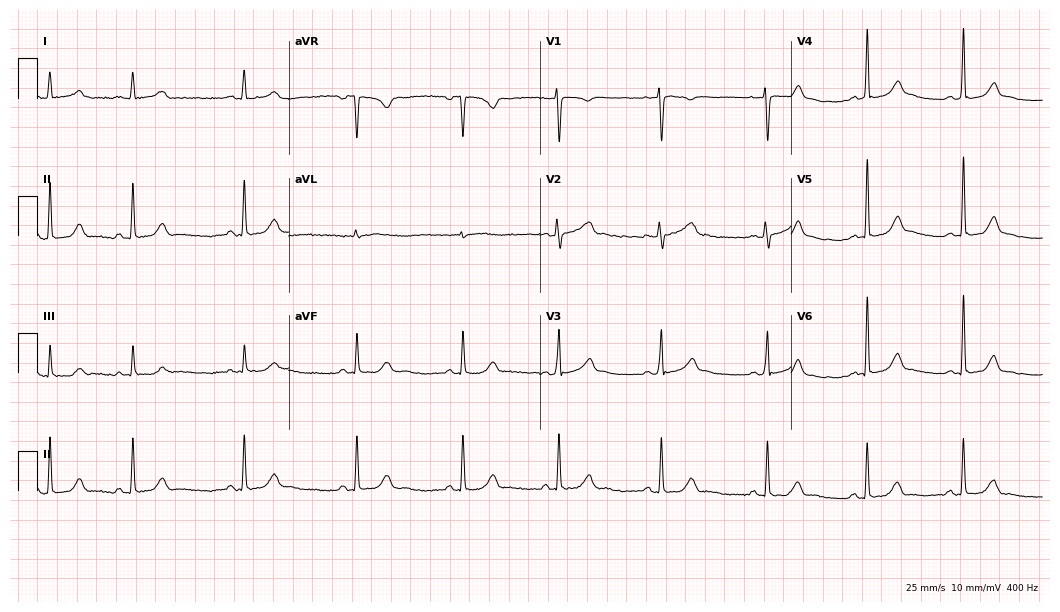
ECG — a 28-year-old female. Labelled as a normal ECG.